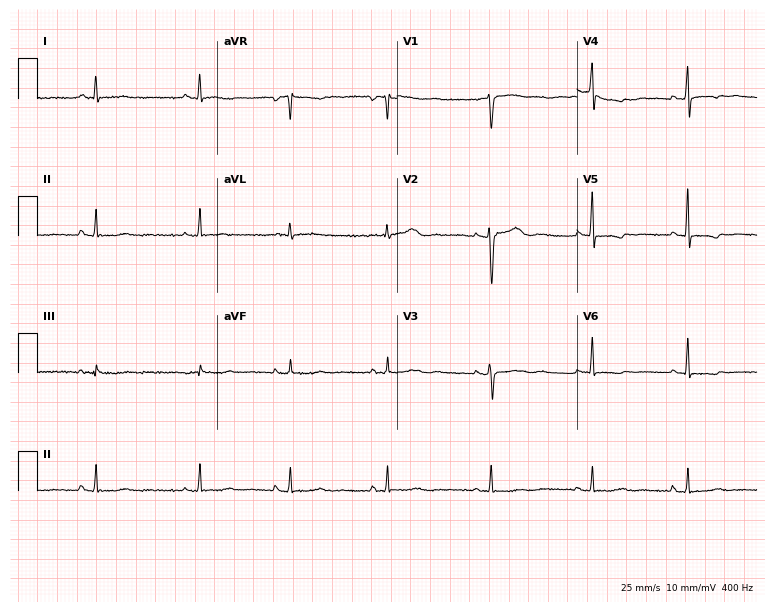
ECG (7.3-second recording at 400 Hz) — a female, 51 years old. Screened for six findings — first-degree AV block, right bundle branch block (RBBB), left bundle branch block (LBBB), sinus bradycardia, atrial fibrillation (AF), sinus tachycardia — none is recorded.